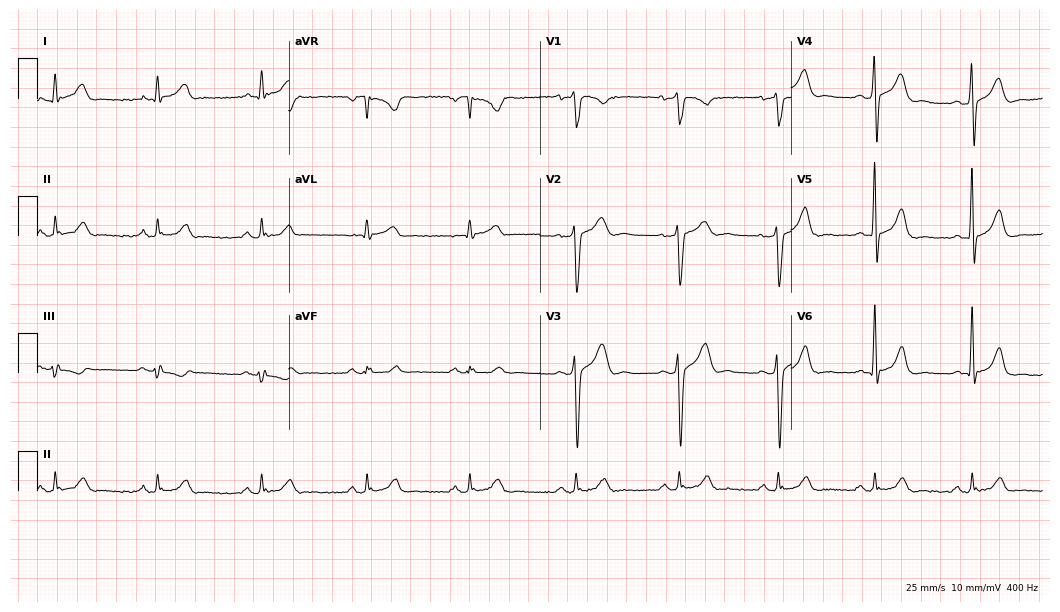
Standard 12-lead ECG recorded from a male patient, 41 years old. None of these six findings is recorded: first-degree AV block, right bundle branch block (RBBB), left bundle branch block (LBBB), sinus bradycardia, atrial fibrillation (AF), sinus tachycardia.